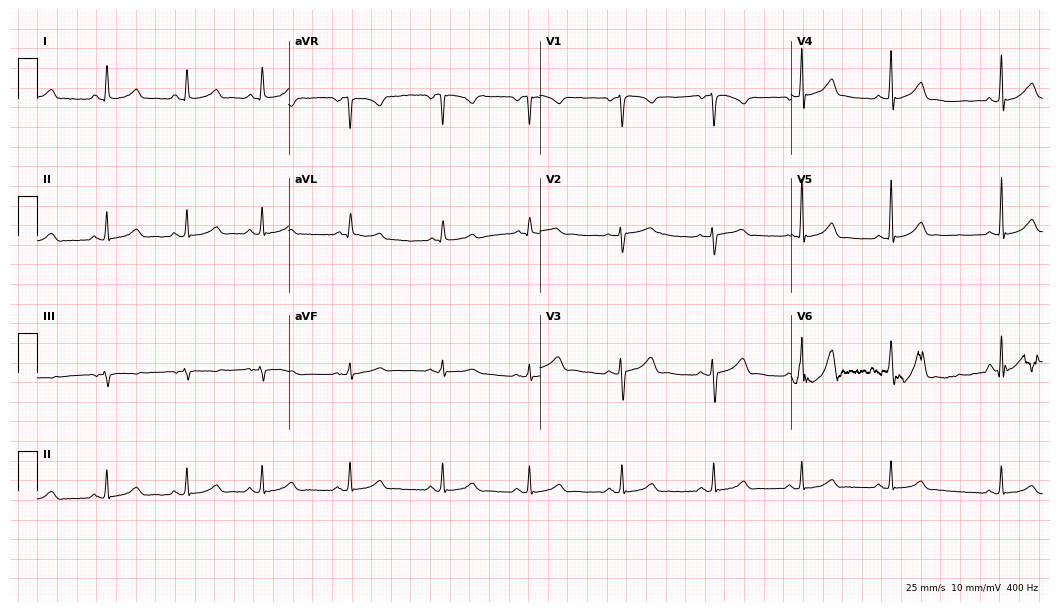
Standard 12-lead ECG recorded from a 37-year-old female. Read as a normal ECG.